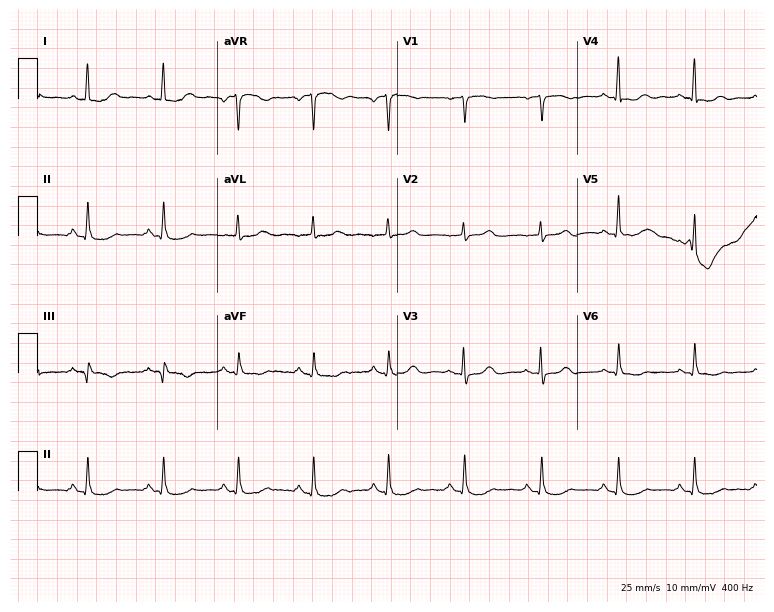
Resting 12-lead electrocardiogram. Patient: a female, 70 years old. Read as a normal ECG.